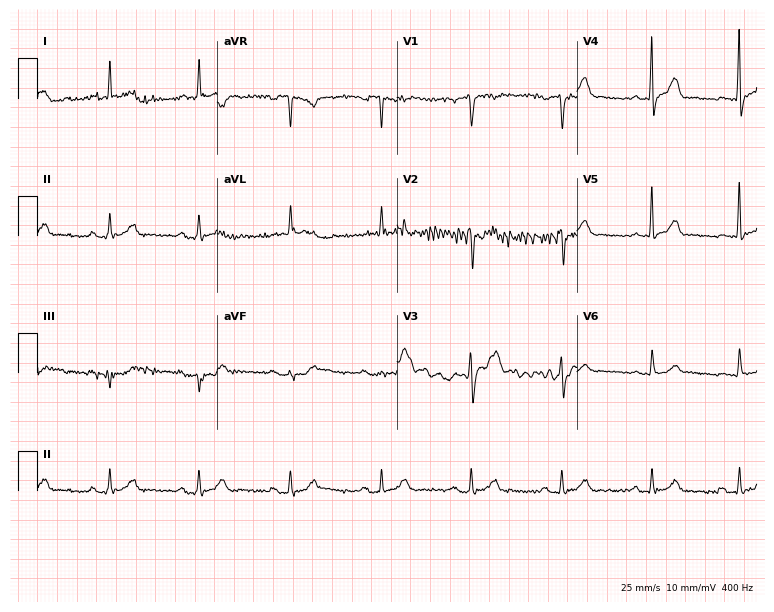
ECG (7.3-second recording at 400 Hz) — a 69-year-old man. Screened for six findings — first-degree AV block, right bundle branch block, left bundle branch block, sinus bradycardia, atrial fibrillation, sinus tachycardia — none is recorded.